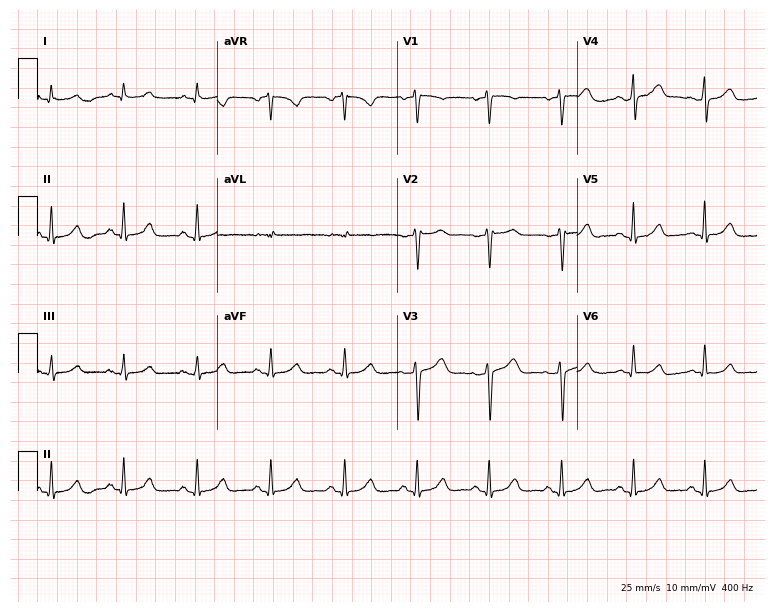
12-lead ECG (7.3-second recording at 400 Hz) from a female patient, 46 years old. Labelled as a normal ECG.